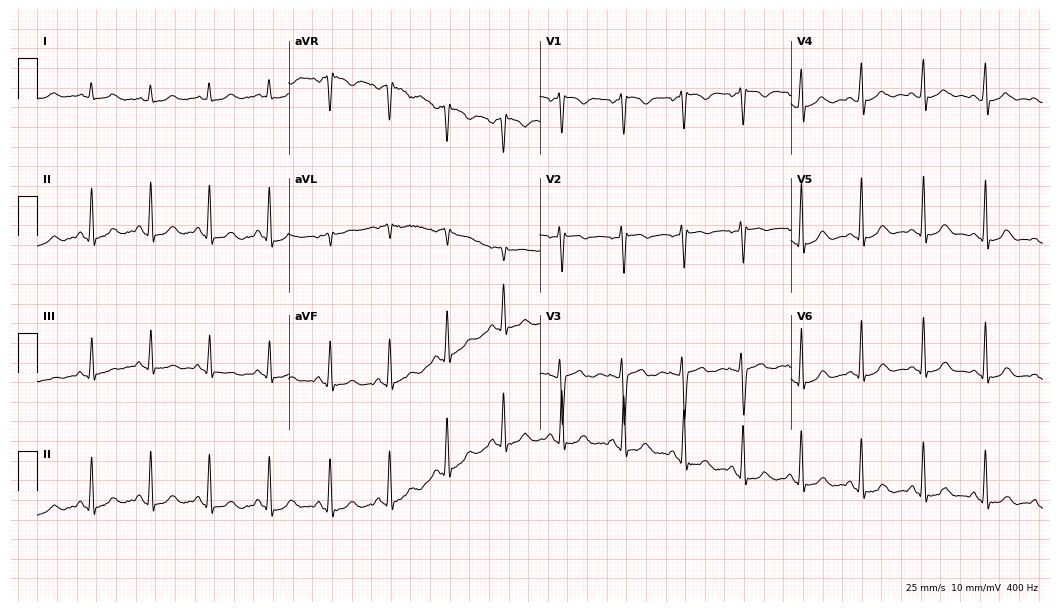
12-lead ECG from a 20-year-old female. Screened for six findings — first-degree AV block, right bundle branch block, left bundle branch block, sinus bradycardia, atrial fibrillation, sinus tachycardia — none is recorded.